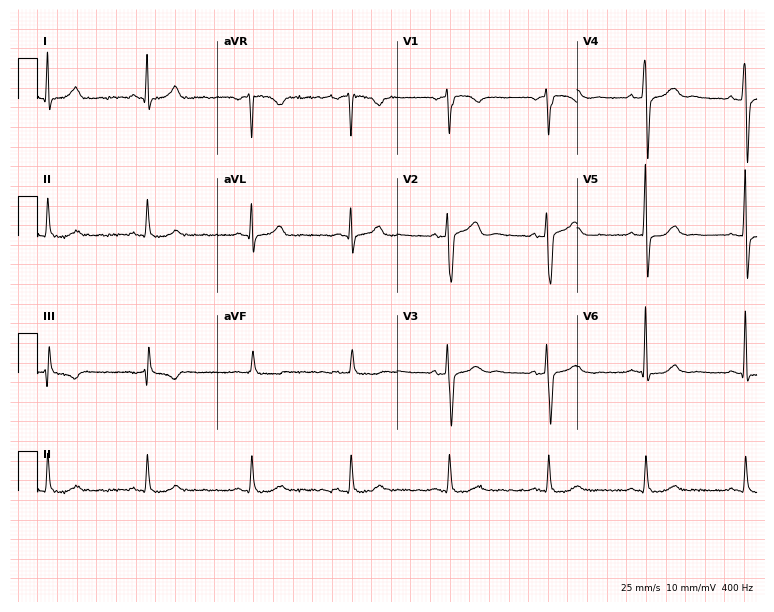
Standard 12-lead ECG recorded from a 52-year-old male. None of these six findings is recorded: first-degree AV block, right bundle branch block (RBBB), left bundle branch block (LBBB), sinus bradycardia, atrial fibrillation (AF), sinus tachycardia.